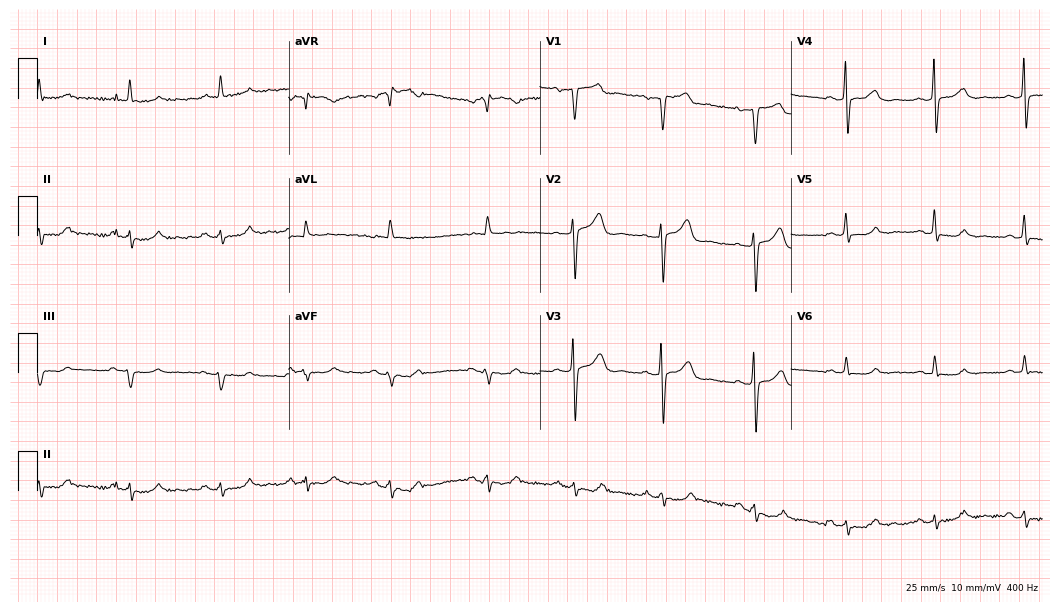
12-lead ECG from a man, 68 years old. Labelled as a normal ECG.